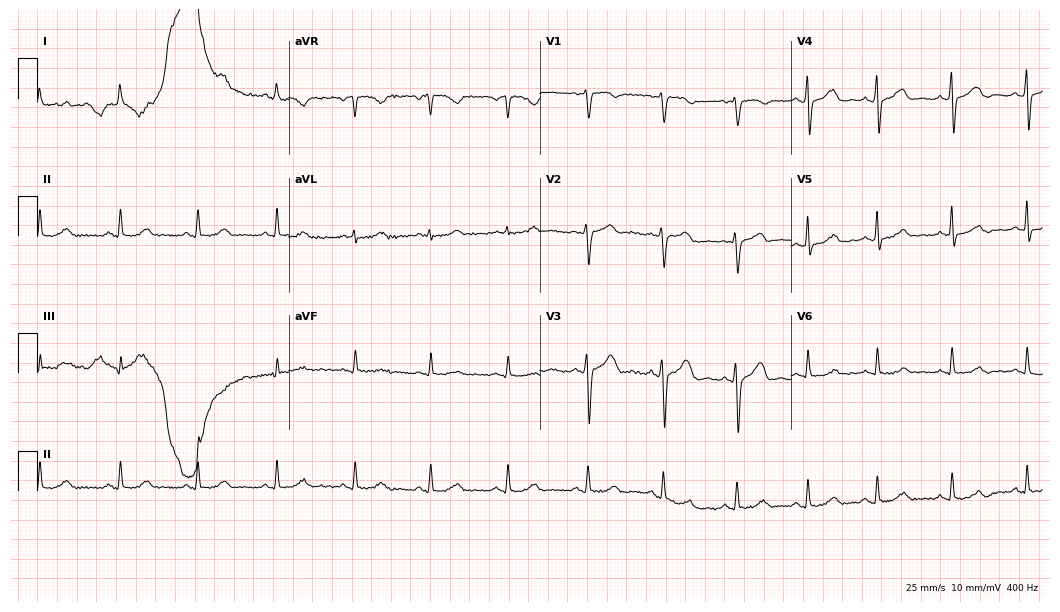
Electrocardiogram, a 27-year-old female patient. Of the six screened findings (first-degree AV block, right bundle branch block, left bundle branch block, sinus bradycardia, atrial fibrillation, sinus tachycardia), none is recorded. Other findings, if any, are not listed.